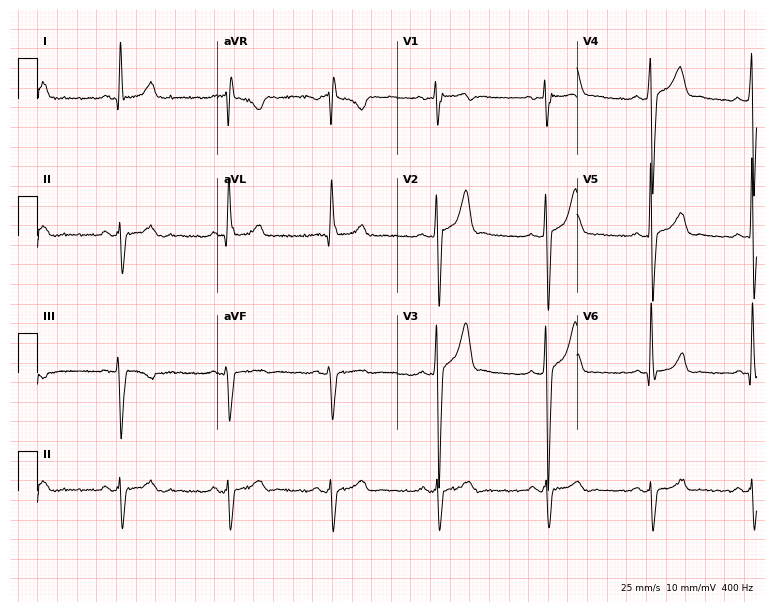
12-lead ECG from a 29-year-old male patient (7.3-second recording at 400 Hz). No first-degree AV block, right bundle branch block (RBBB), left bundle branch block (LBBB), sinus bradycardia, atrial fibrillation (AF) or sinus tachycardia recorded for this tracing. Only these six findings were labelled.